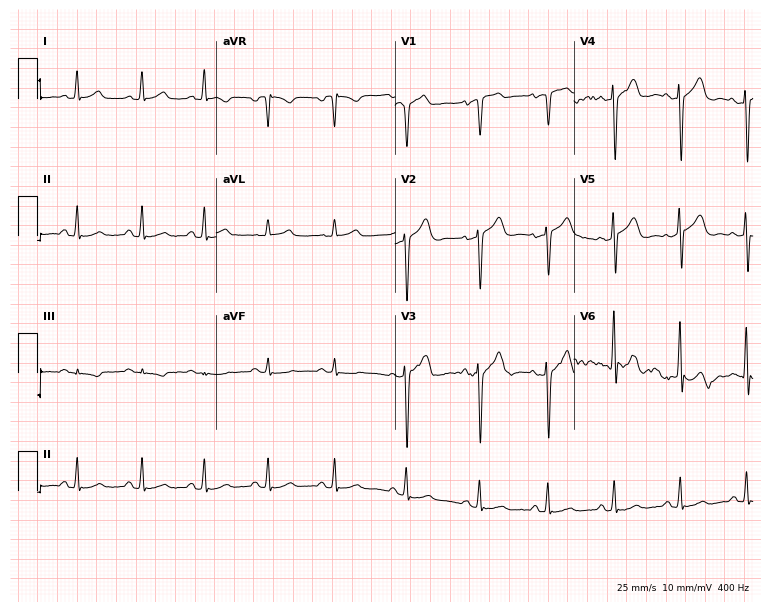
ECG (7.3-second recording at 400 Hz) — a male patient, 31 years old. Screened for six findings — first-degree AV block, right bundle branch block (RBBB), left bundle branch block (LBBB), sinus bradycardia, atrial fibrillation (AF), sinus tachycardia — none is recorded. Other findings, if any, are not listed.